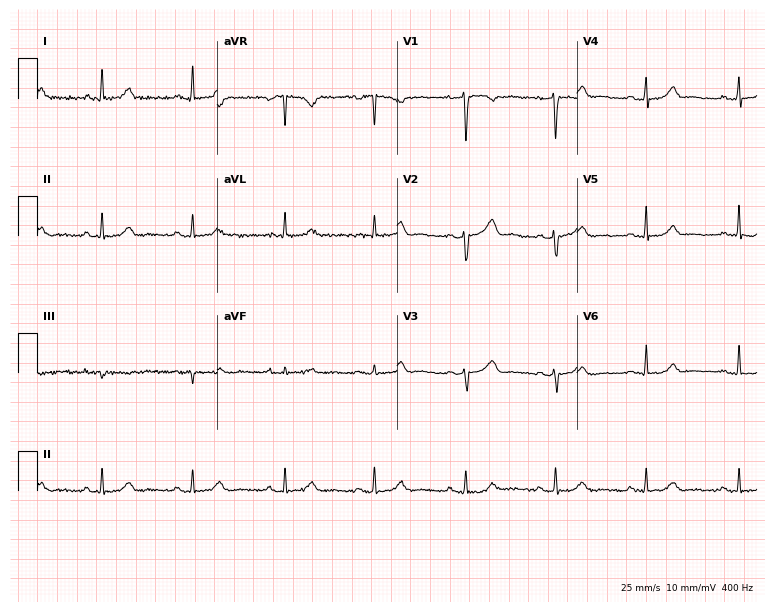
Resting 12-lead electrocardiogram (7.3-second recording at 400 Hz). Patient: a woman, 37 years old. Read as a normal ECG.